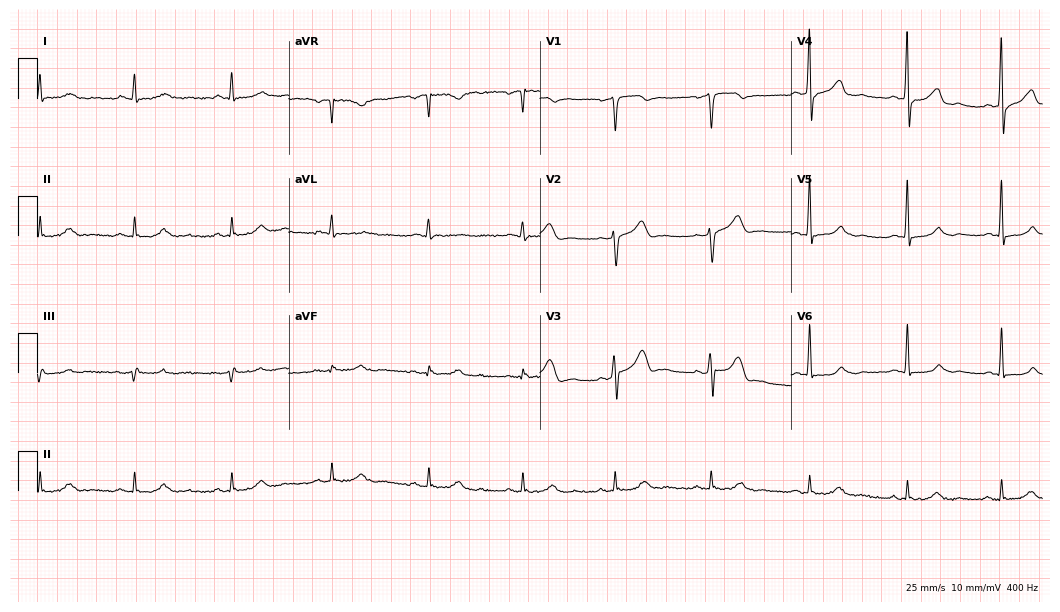
12-lead ECG (10.2-second recording at 400 Hz) from a male, 45 years old. Screened for six findings — first-degree AV block, right bundle branch block, left bundle branch block, sinus bradycardia, atrial fibrillation, sinus tachycardia — none is recorded. Other findings, if any, are not listed.